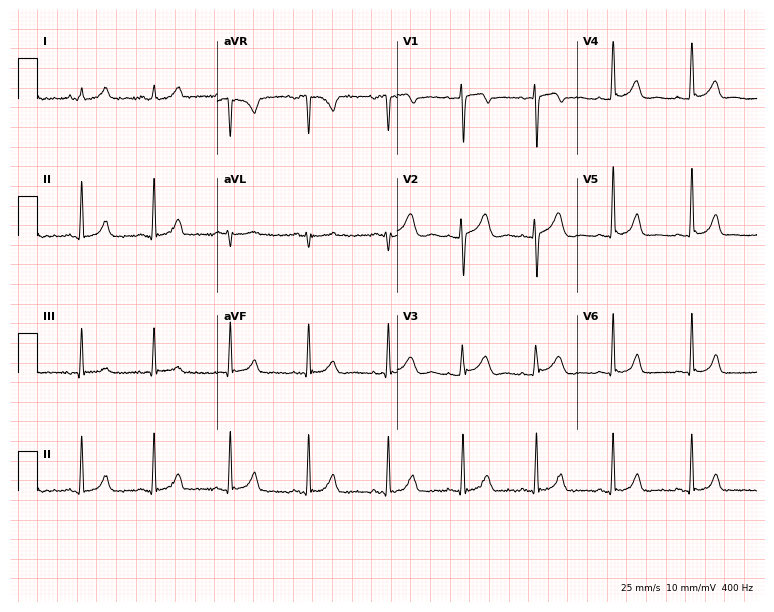
Resting 12-lead electrocardiogram. Patient: a female, 21 years old. Read as a normal ECG.